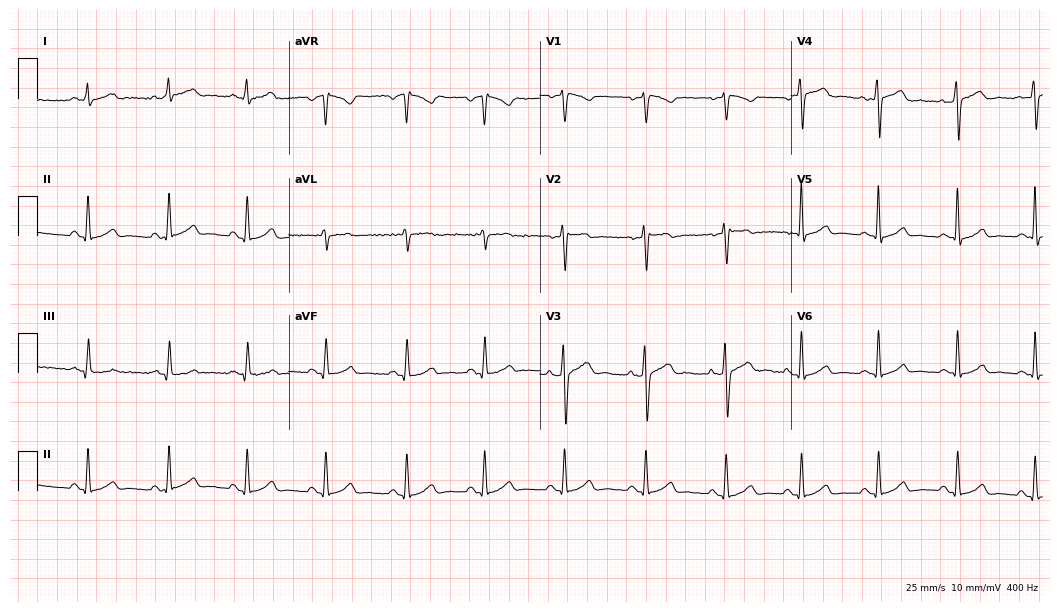
12-lead ECG (10.2-second recording at 400 Hz) from a man, 29 years old. Screened for six findings — first-degree AV block, right bundle branch block, left bundle branch block, sinus bradycardia, atrial fibrillation, sinus tachycardia — none is recorded.